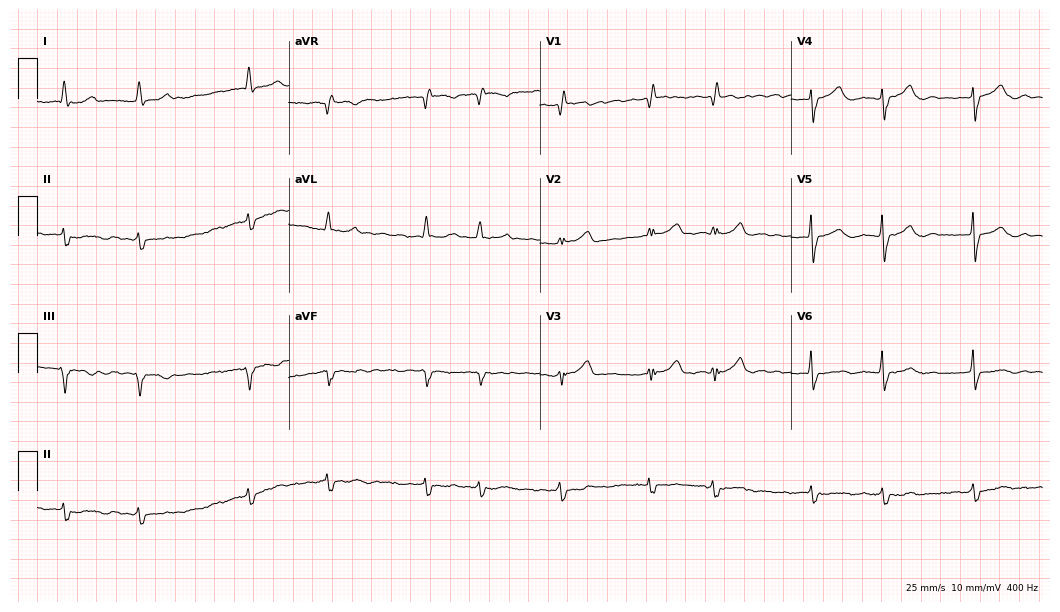
Electrocardiogram, a woman, 73 years old. Interpretation includes atrial fibrillation.